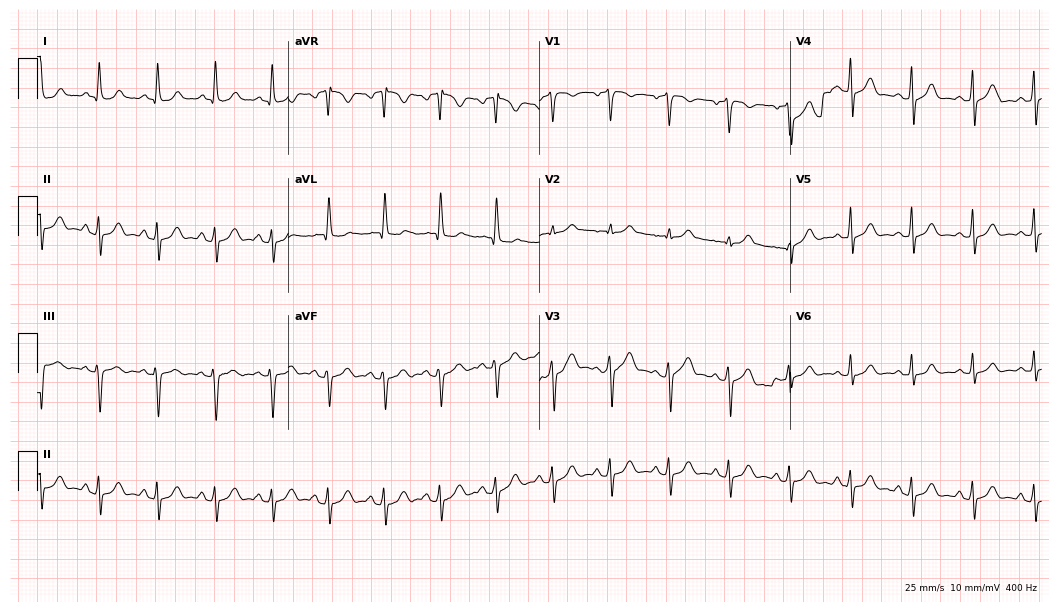
12-lead ECG (10.2-second recording at 400 Hz) from a 34-year-old male. Findings include sinus tachycardia (a sinus rate of 100 beats per minute or more).